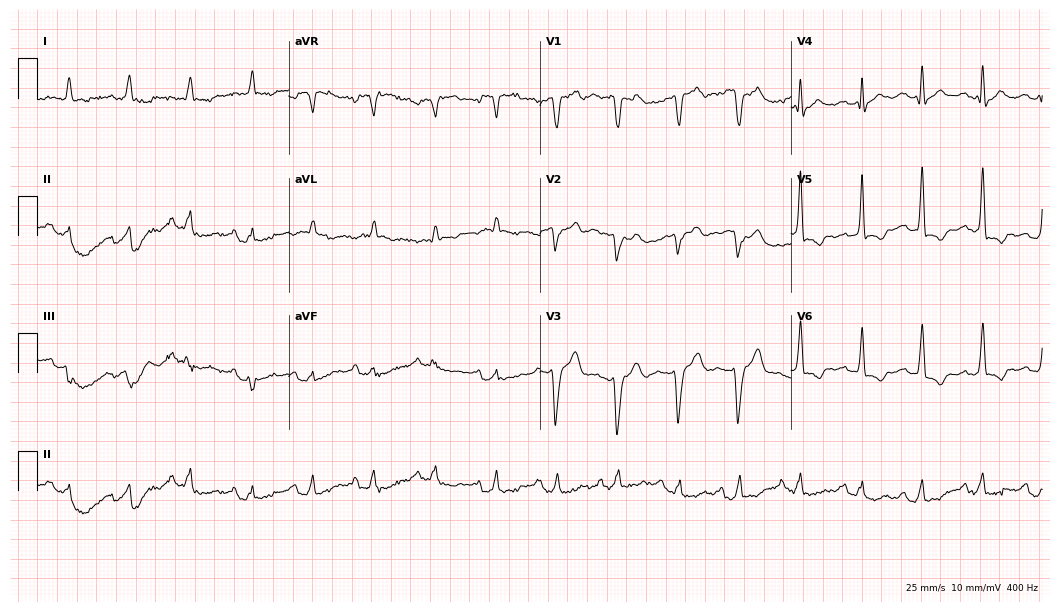
Resting 12-lead electrocardiogram. Patient: an 86-year-old woman. None of these six findings is recorded: first-degree AV block, right bundle branch block (RBBB), left bundle branch block (LBBB), sinus bradycardia, atrial fibrillation (AF), sinus tachycardia.